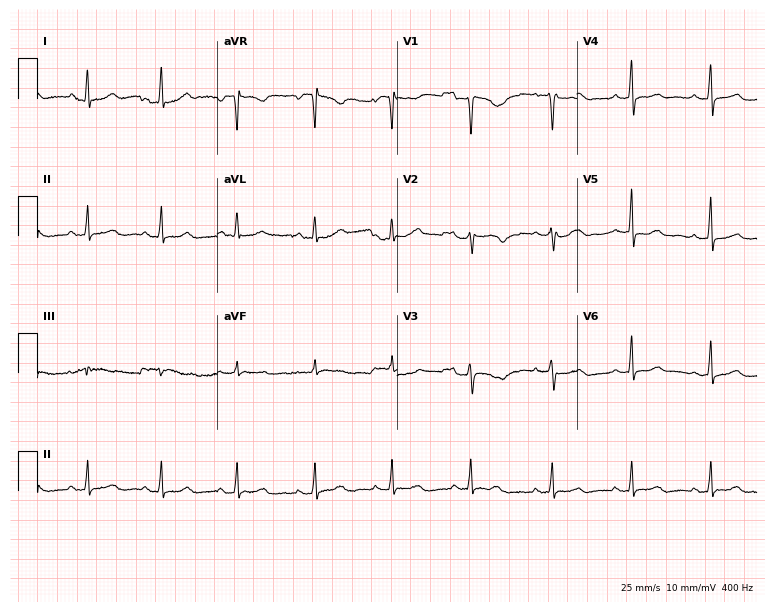
12-lead ECG from a 51-year-old woman. Recorded interpretation: within normal limits.